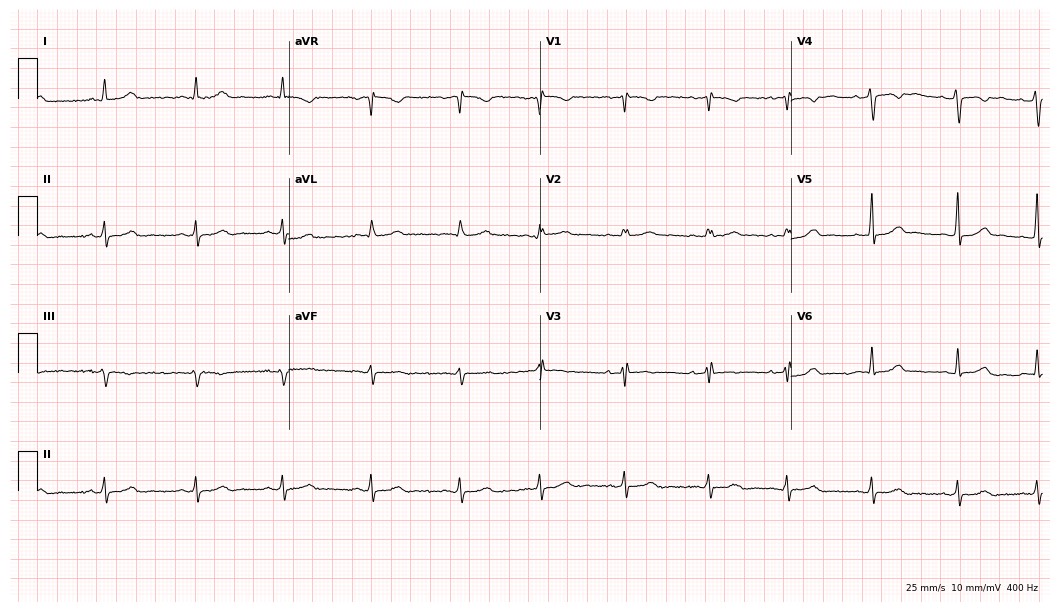
Electrocardiogram, a female, 26 years old. Of the six screened findings (first-degree AV block, right bundle branch block, left bundle branch block, sinus bradycardia, atrial fibrillation, sinus tachycardia), none is recorded.